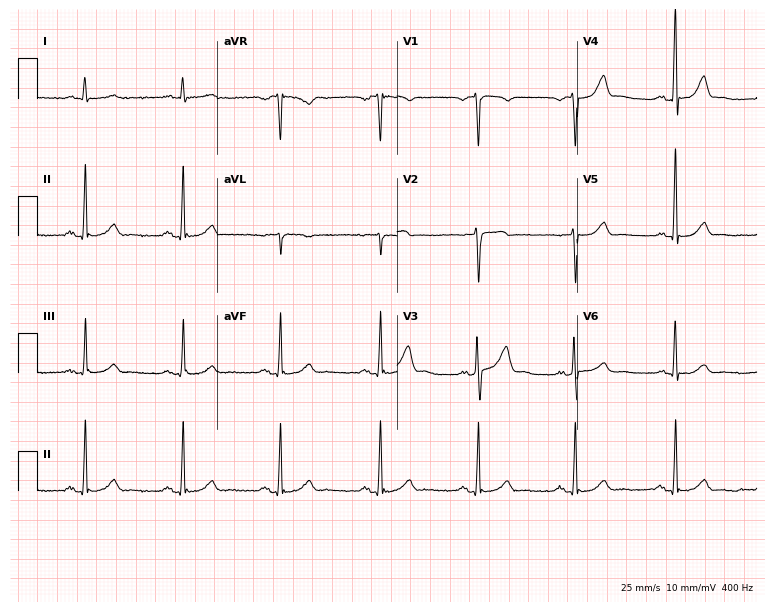
Standard 12-lead ECG recorded from a male patient, 48 years old. Read as a normal ECG.